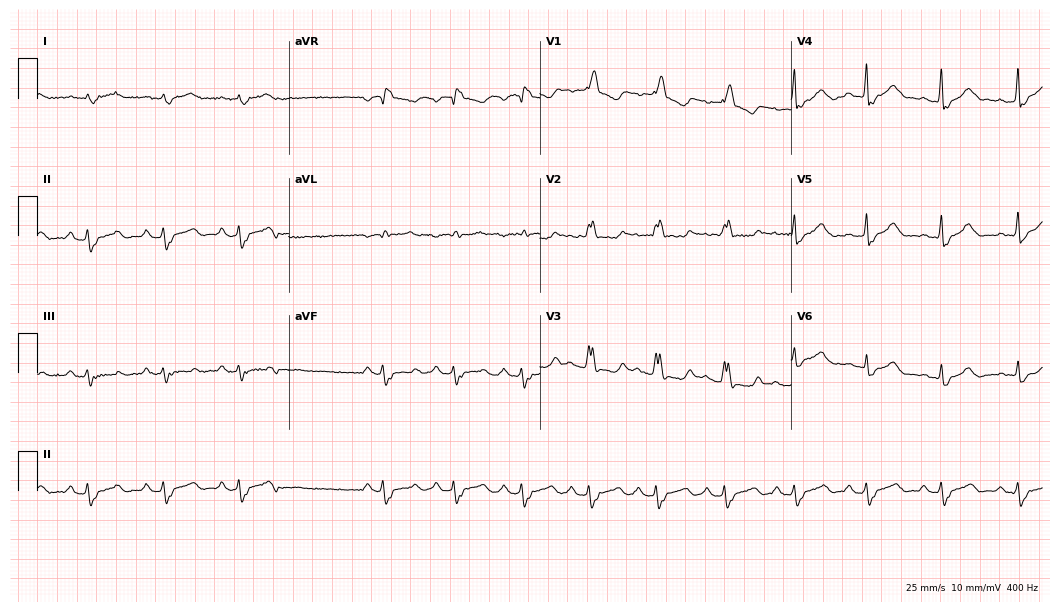
Resting 12-lead electrocardiogram. Patient: a 61-year-old man. The tracing shows right bundle branch block.